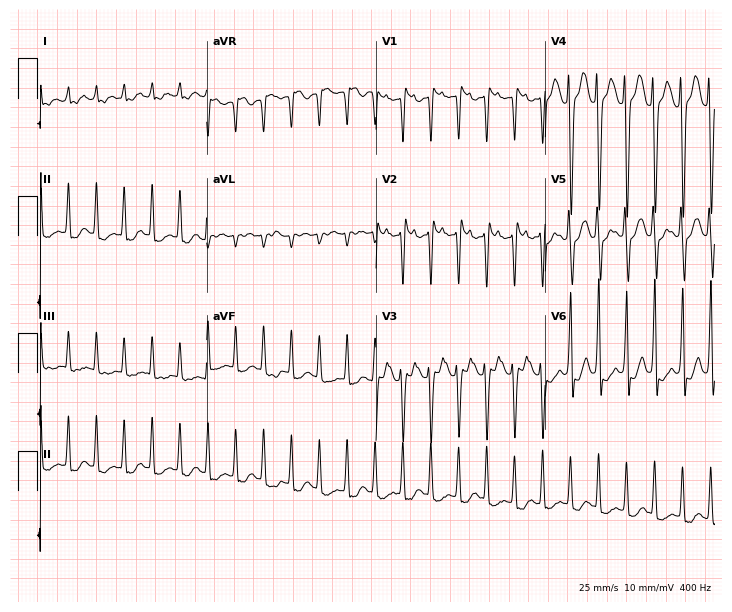
Resting 12-lead electrocardiogram (6.9-second recording at 400 Hz). Patient: a male, 57 years old. The tracing shows sinus tachycardia (a sinus rate of 100 beats per minute or more).